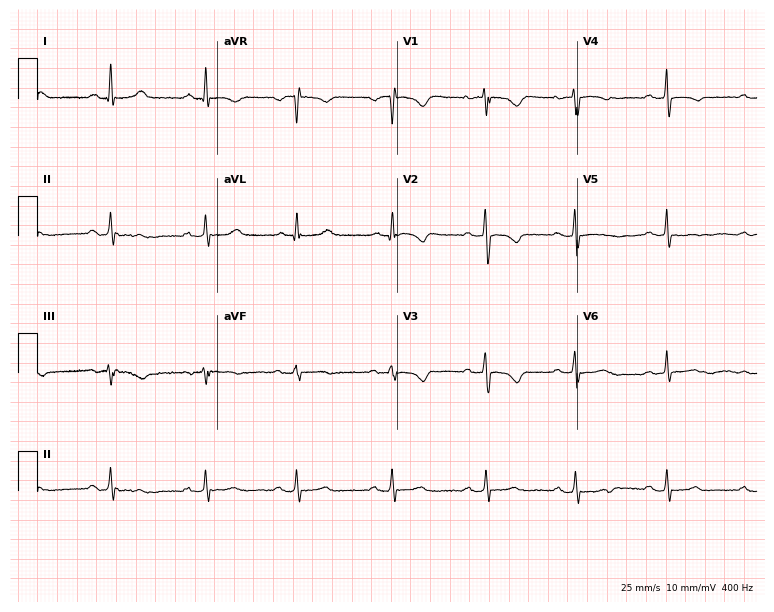
12-lead ECG from a woman, 50 years old. Screened for six findings — first-degree AV block, right bundle branch block, left bundle branch block, sinus bradycardia, atrial fibrillation, sinus tachycardia — none is recorded. Only these six findings were labelled.